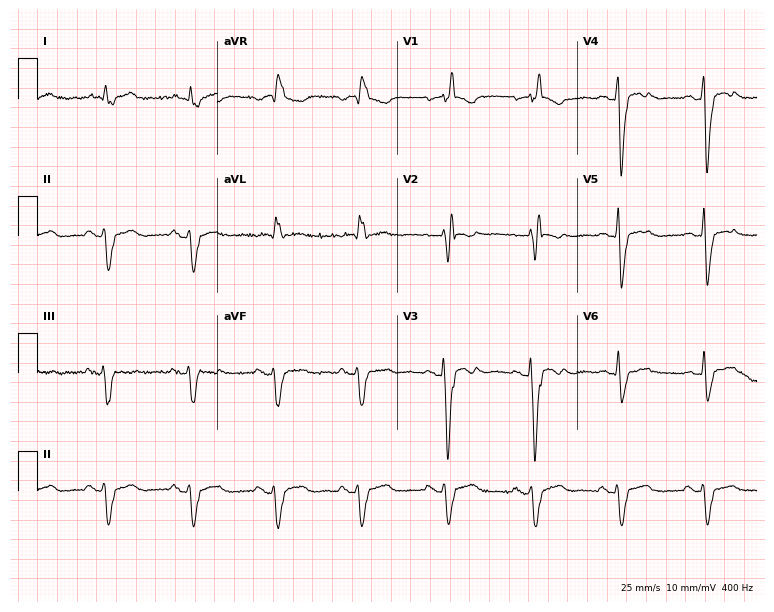
12-lead ECG from a 69-year-old male patient. Shows right bundle branch block.